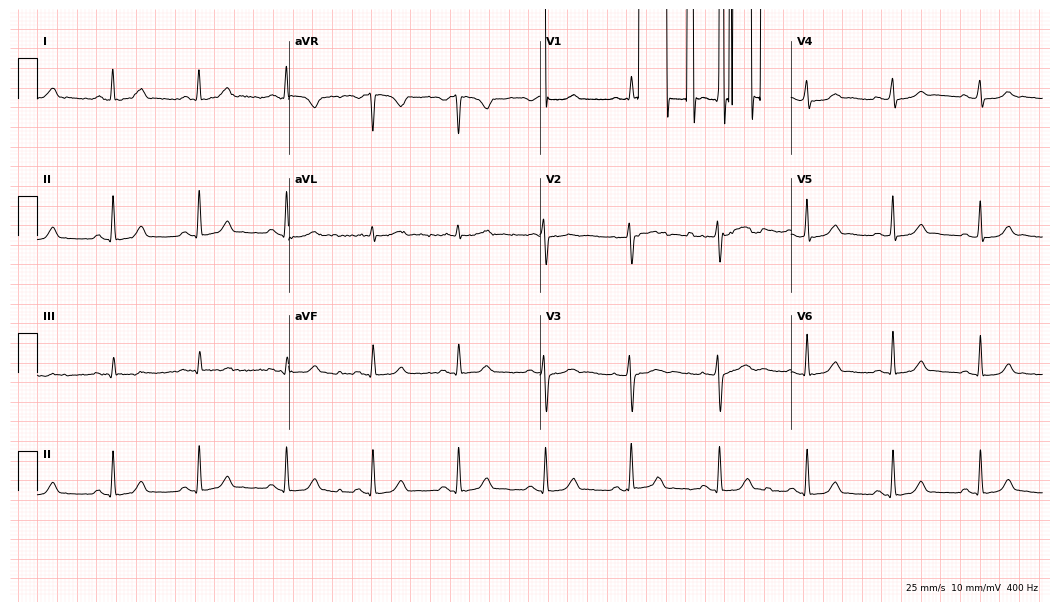
Electrocardiogram, a woman, 35 years old. Of the six screened findings (first-degree AV block, right bundle branch block, left bundle branch block, sinus bradycardia, atrial fibrillation, sinus tachycardia), none is recorded. Findings outside these six are not listed.